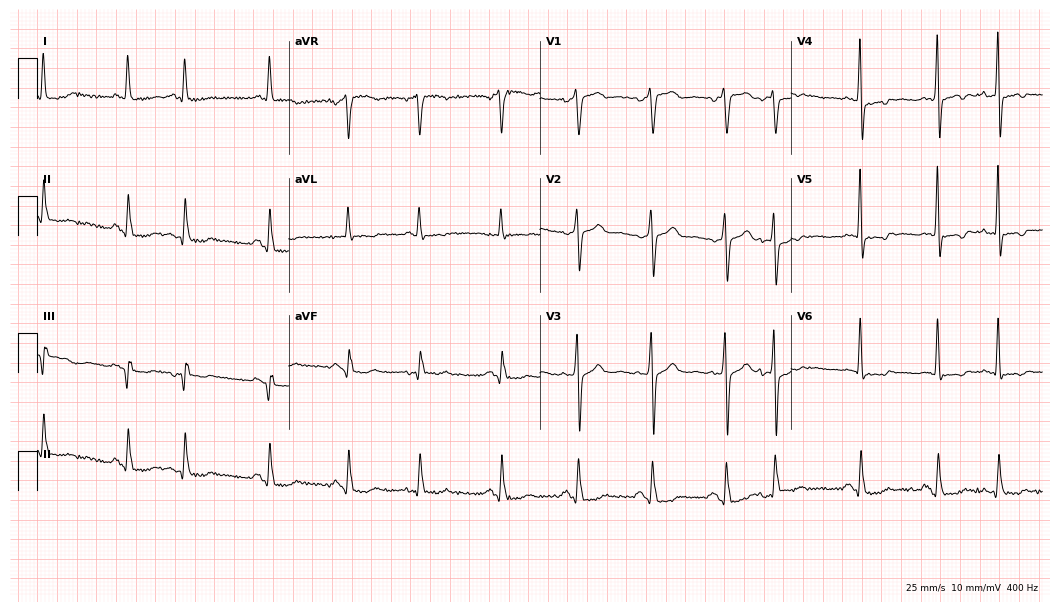
ECG — a 48-year-old male patient. Screened for six findings — first-degree AV block, right bundle branch block (RBBB), left bundle branch block (LBBB), sinus bradycardia, atrial fibrillation (AF), sinus tachycardia — none is recorded.